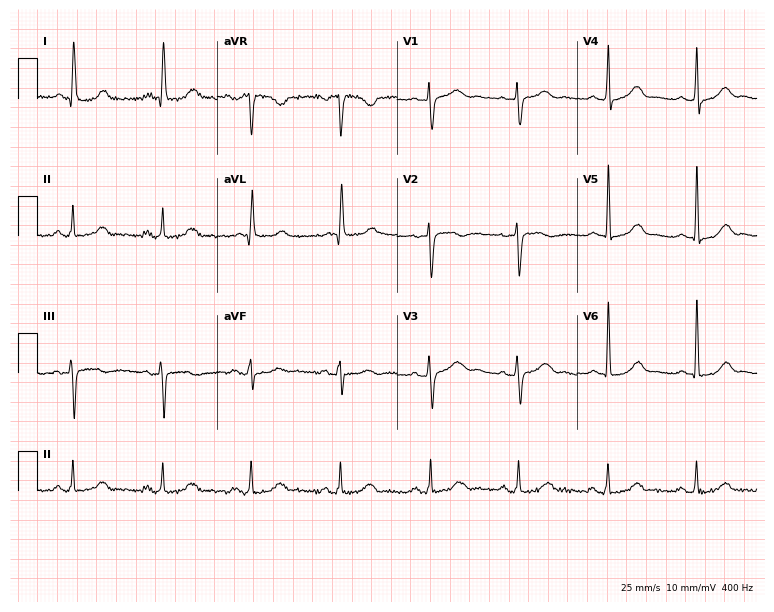
Electrocardiogram, a 74-year-old female. Of the six screened findings (first-degree AV block, right bundle branch block (RBBB), left bundle branch block (LBBB), sinus bradycardia, atrial fibrillation (AF), sinus tachycardia), none is recorded.